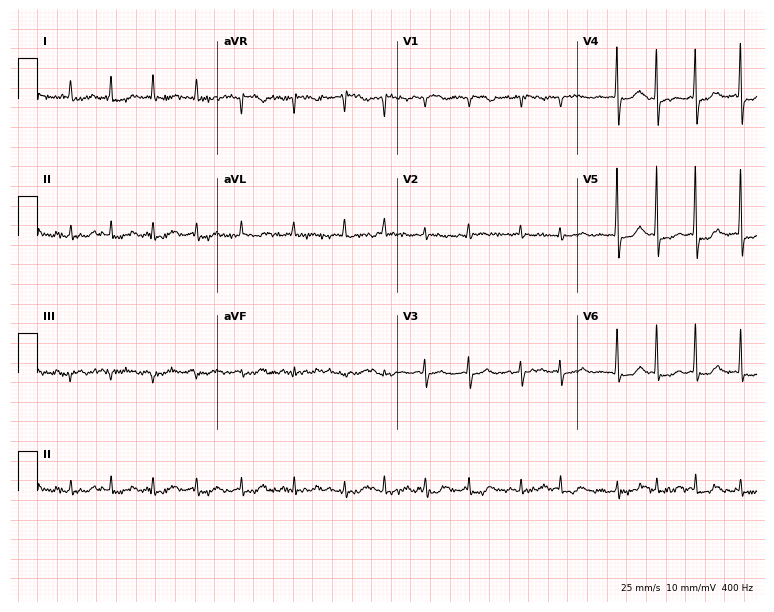
Electrocardiogram (7.3-second recording at 400 Hz), a male, 84 years old. Of the six screened findings (first-degree AV block, right bundle branch block (RBBB), left bundle branch block (LBBB), sinus bradycardia, atrial fibrillation (AF), sinus tachycardia), none is recorded. Other findings, if any, are not listed.